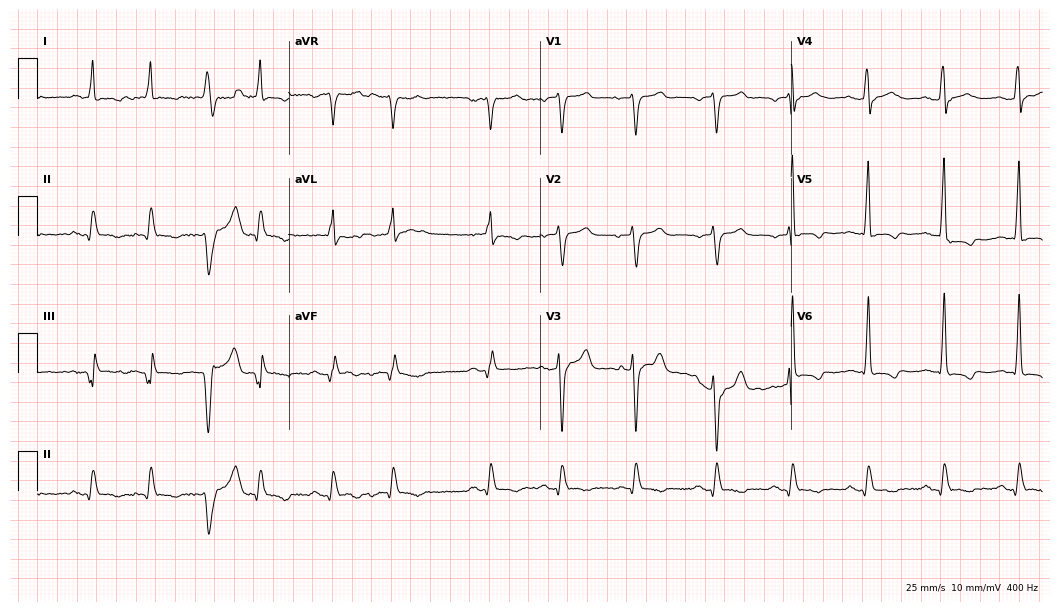
Electrocardiogram (10.2-second recording at 400 Hz), a male, 82 years old. Of the six screened findings (first-degree AV block, right bundle branch block, left bundle branch block, sinus bradycardia, atrial fibrillation, sinus tachycardia), none is recorded. Other findings, if any, are not listed.